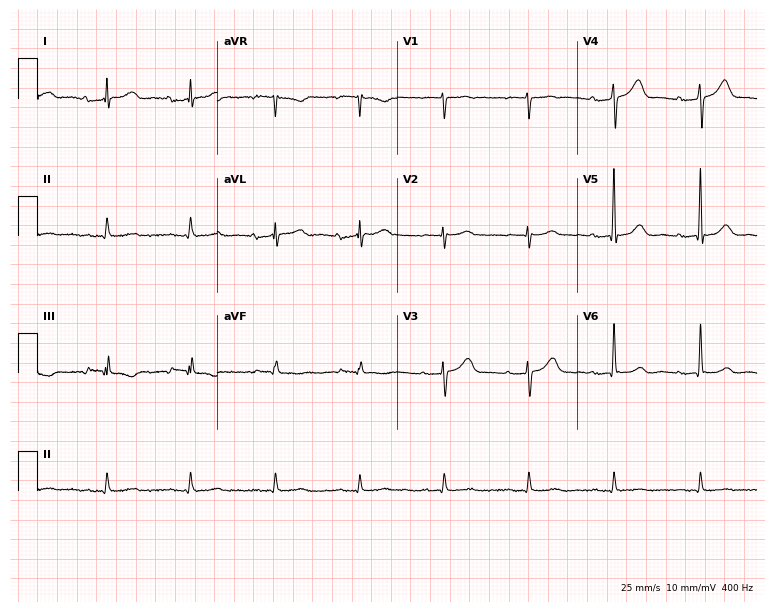
Electrocardiogram, an 84-year-old man. Interpretation includes first-degree AV block.